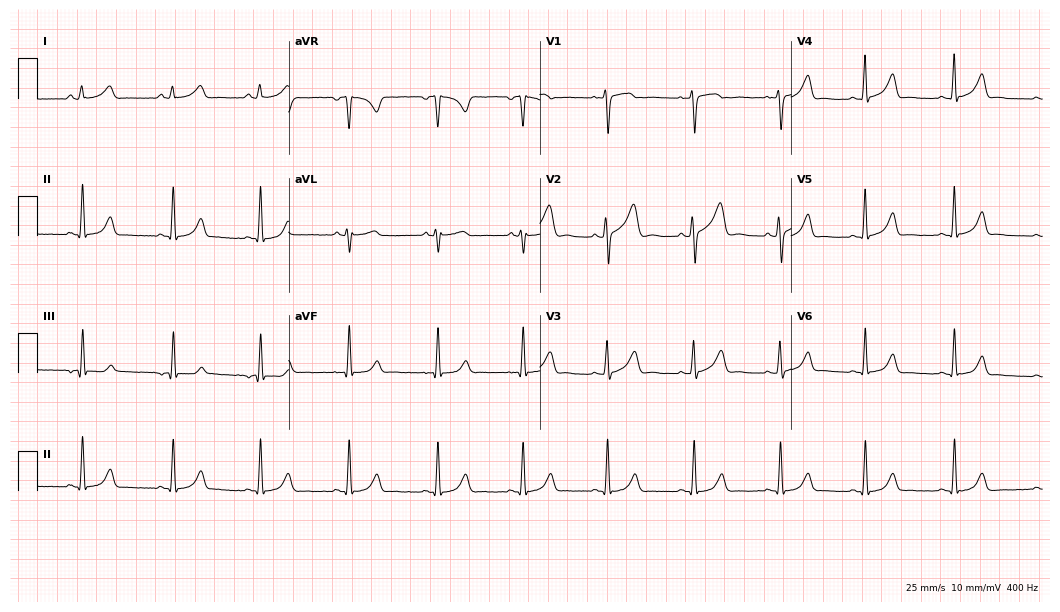
ECG (10.2-second recording at 400 Hz) — a woman, 33 years old. Labelled as a normal ECG.